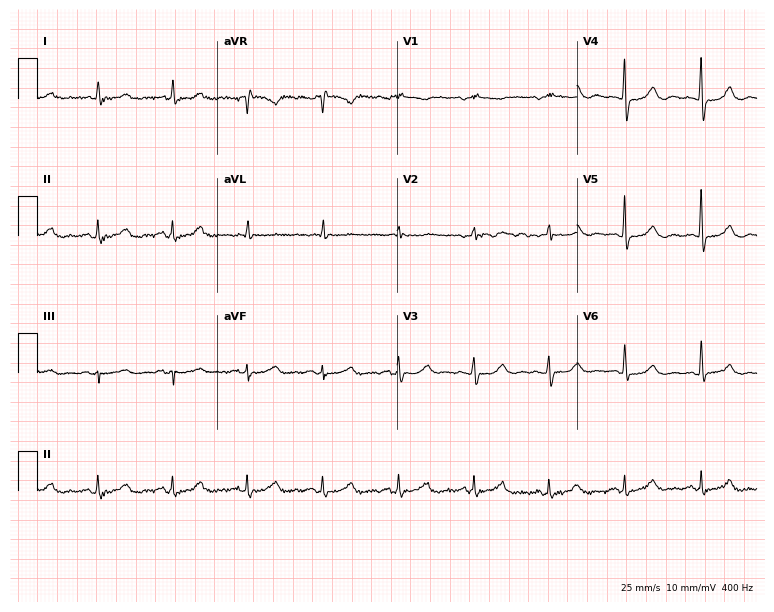
12-lead ECG from a female, 65 years old. Screened for six findings — first-degree AV block, right bundle branch block (RBBB), left bundle branch block (LBBB), sinus bradycardia, atrial fibrillation (AF), sinus tachycardia — none is recorded.